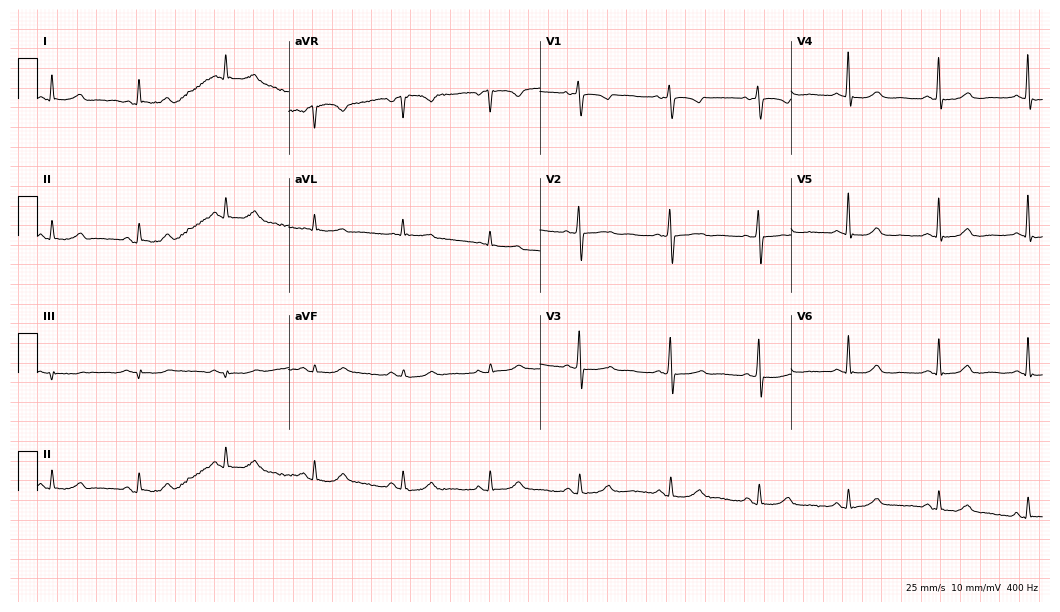
12-lead ECG (10.2-second recording at 400 Hz) from a female, 65 years old. Labelled as a normal ECG.